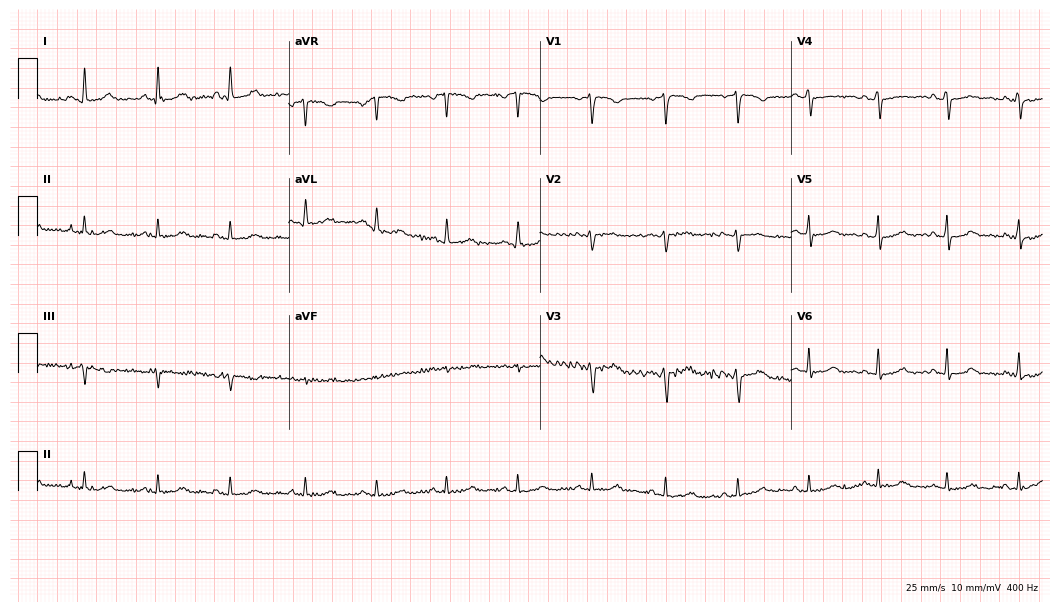
Resting 12-lead electrocardiogram. Patient: a 37-year-old female. None of these six findings is recorded: first-degree AV block, right bundle branch block, left bundle branch block, sinus bradycardia, atrial fibrillation, sinus tachycardia. Findings outside these six are not listed.